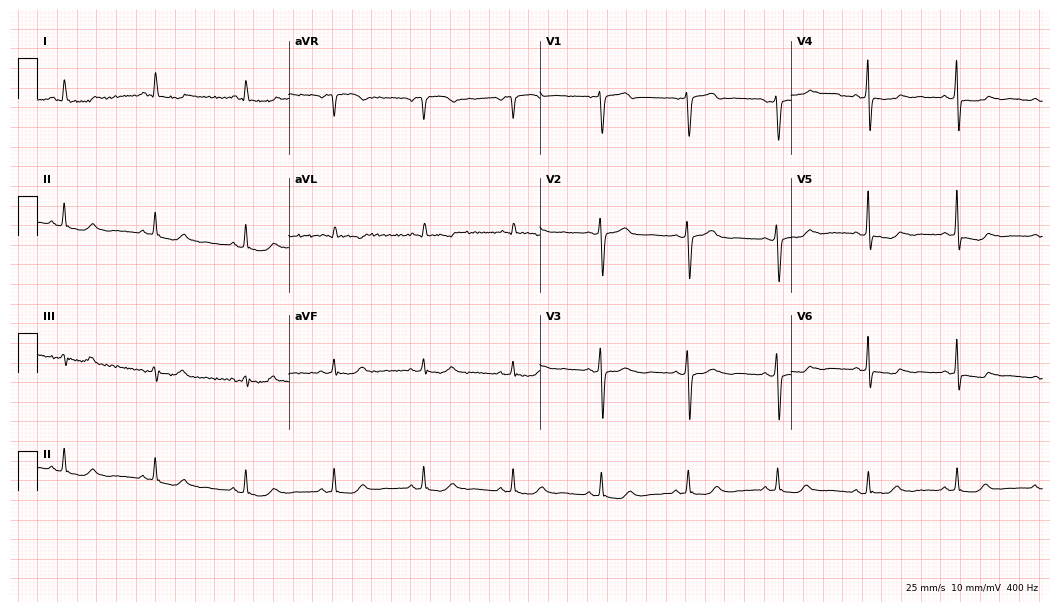
Resting 12-lead electrocardiogram (10.2-second recording at 400 Hz). Patient: a 71-year-old man. None of these six findings is recorded: first-degree AV block, right bundle branch block, left bundle branch block, sinus bradycardia, atrial fibrillation, sinus tachycardia. Findings outside these six are not listed.